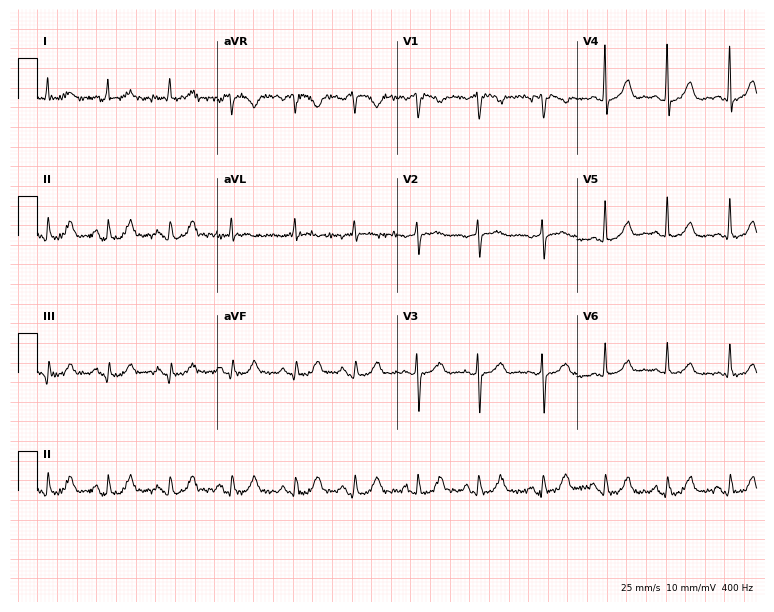
Resting 12-lead electrocardiogram (7.3-second recording at 400 Hz). Patient: a female, 69 years old. None of these six findings is recorded: first-degree AV block, right bundle branch block, left bundle branch block, sinus bradycardia, atrial fibrillation, sinus tachycardia. Other findings, if any, are not listed.